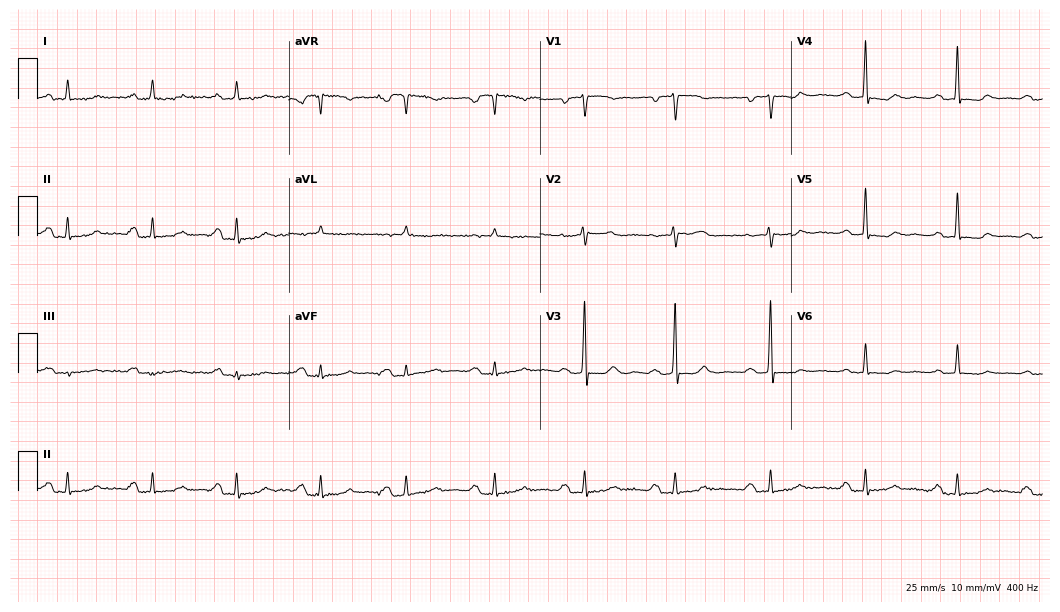
Electrocardiogram (10.2-second recording at 400 Hz), a female patient, 64 years old. Interpretation includes first-degree AV block.